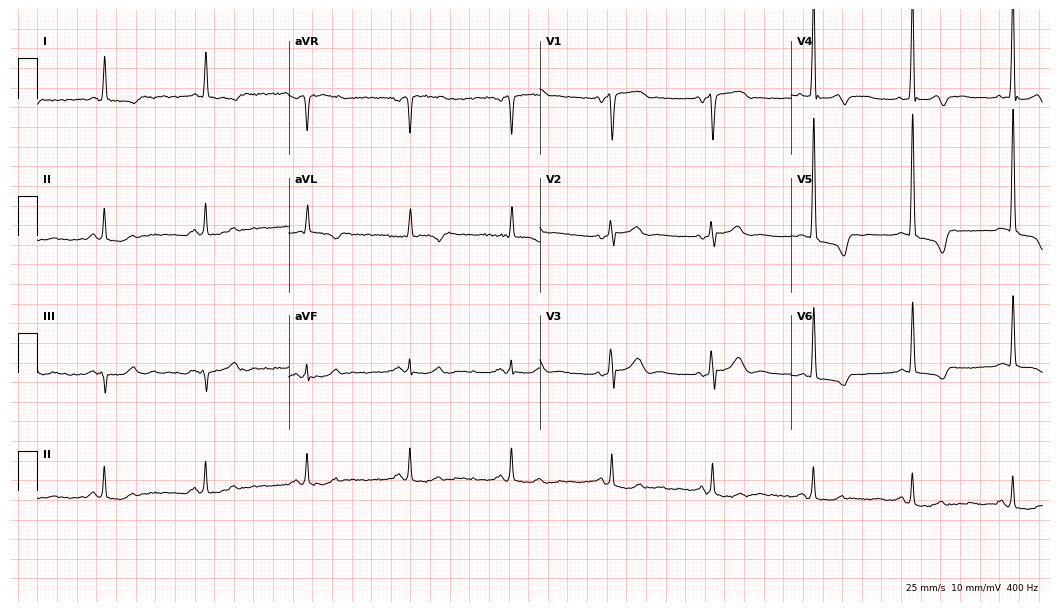
ECG (10.2-second recording at 400 Hz) — a male patient, 77 years old. Screened for six findings — first-degree AV block, right bundle branch block (RBBB), left bundle branch block (LBBB), sinus bradycardia, atrial fibrillation (AF), sinus tachycardia — none is recorded.